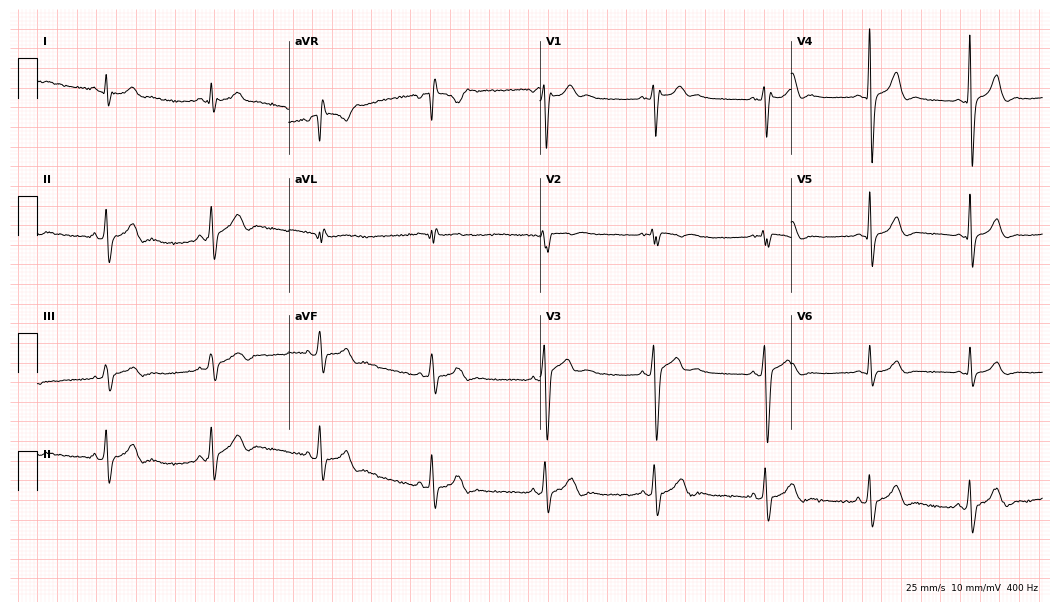
Resting 12-lead electrocardiogram (10.2-second recording at 400 Hz). Patient: an 18-year-old male. None of these six findings is recorded: first-degree AV block, right bundle branch block, left bundle branch block, sinus bradycardia, atrial fibrillation, sinus tachycardia.